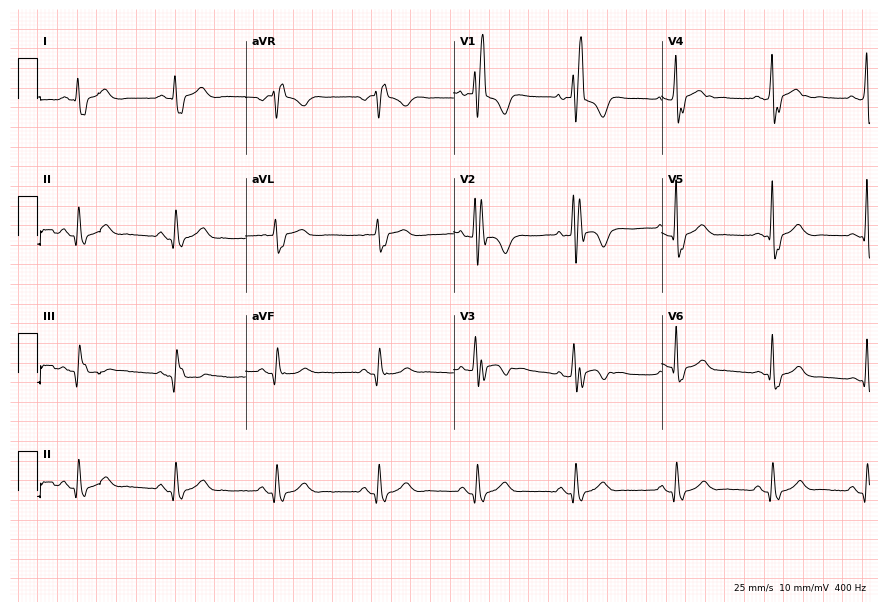
12-lead ECG from a male, 49 years old. Screened for six findings — first-degree AV block, right bundle branch block, left bundle branch block, sinus bradycardia, atrial fibrillation, sinus tachycardia — none is recorded. Only these six findings were labelled.